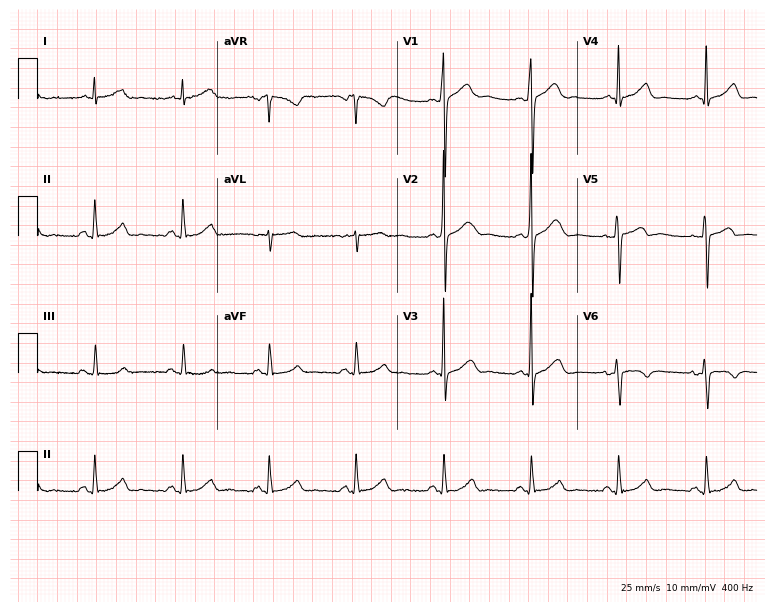
ECG (7.3-second recording at 400 Hz) — a 36-year-old man. Screened for six findings — first-degree AV block, right bundle branch block (RBBB), left bundle branch block (LBBB), sinus bradycardia, atrial fibrillation (AF), sinus tachycardia — none is recorded. Other findings, if any, are not listed.